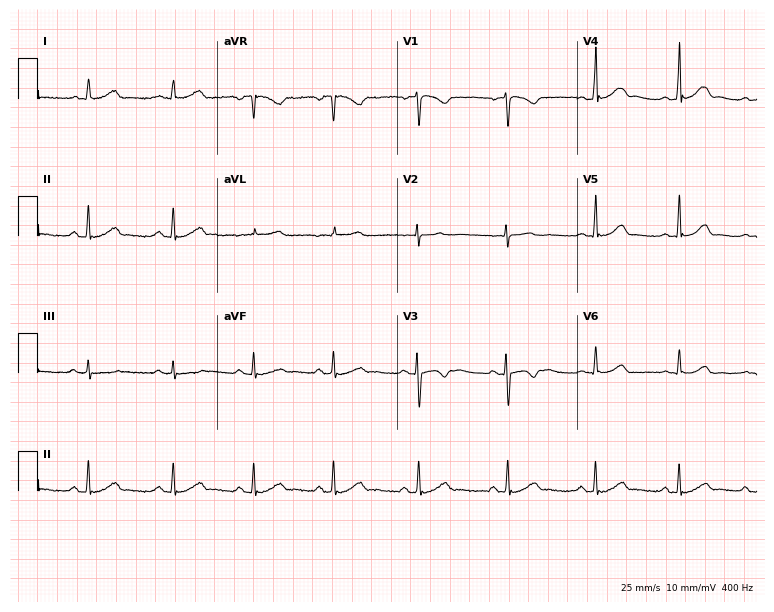
12-lead ECG from a 35-year-old woman (7.3-second recording at 400 Hz). Recorded interpretation: within normal limits.